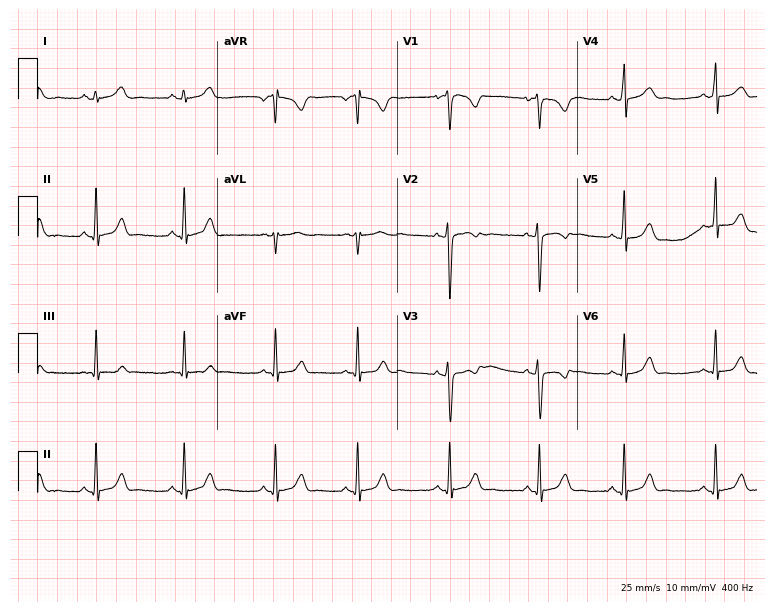
12-lead ECG (7.3-second recording at 400 Hz) from a 22-year-old woman. Labelled as a normal ECG.